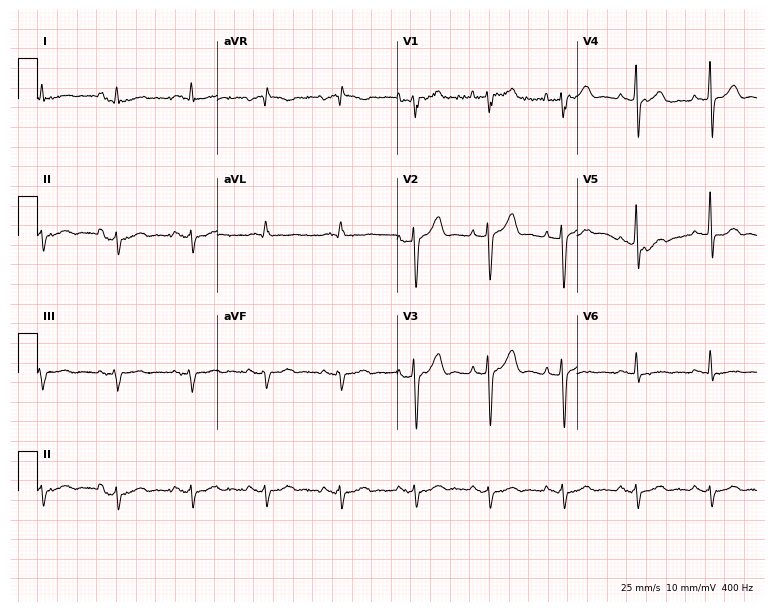
ECG — a 65-year-old male. Screened for six findings — first-degree AV block, right bundle branch block, left bundle branch block, sinus bradycardia, atrial fibrillation, sinus tachycardia — none is recorded.